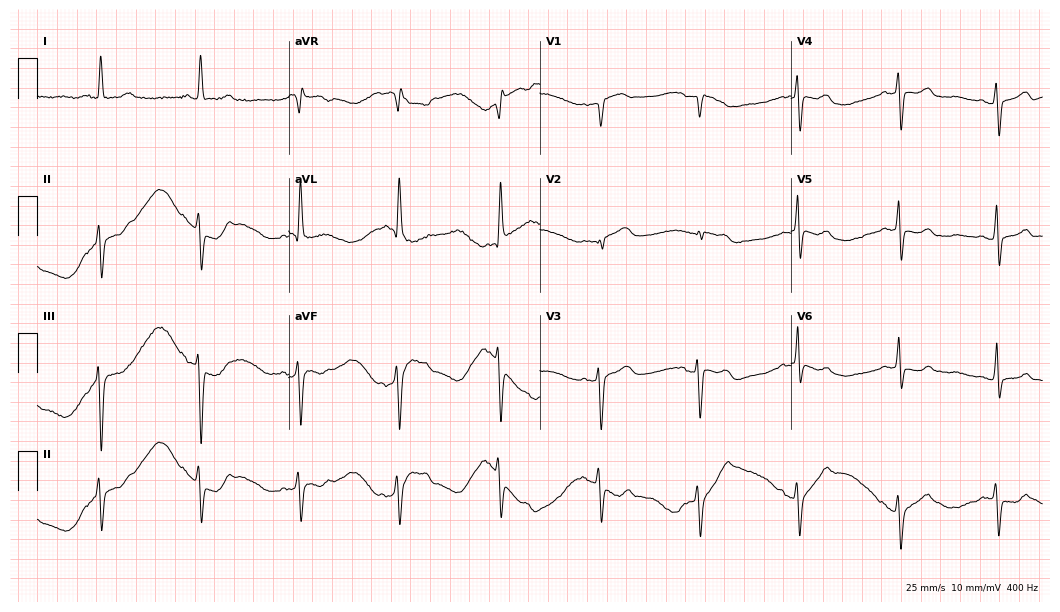
Electrocardiogram, a 71-year-old female. Of the six screened findings (first-degree AV block, right bundle branch block (RBBB), left bundle branch block (LBBB), sinus bradycardia, atrial fibrillation (AF), sinus tachycardia), none is recorded.